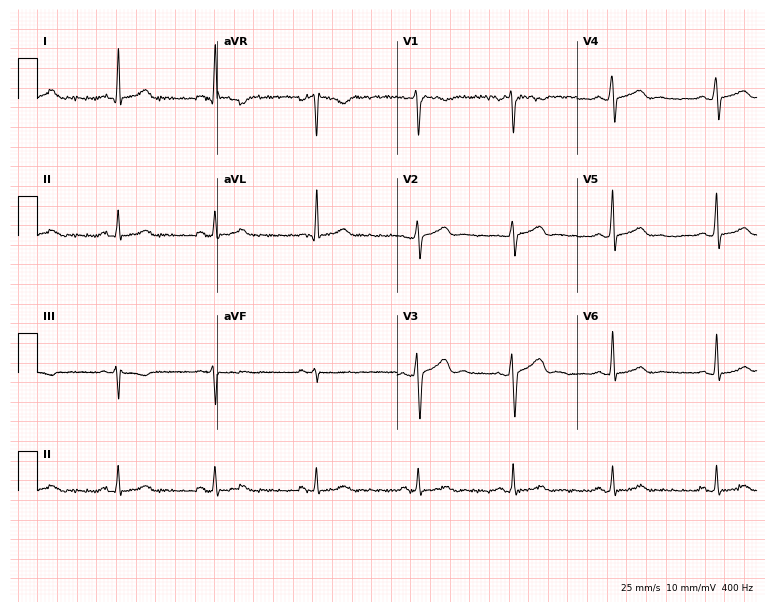
Standard 12-lead ECG recorded from a man, 37 years old. Read as a normal ECG.